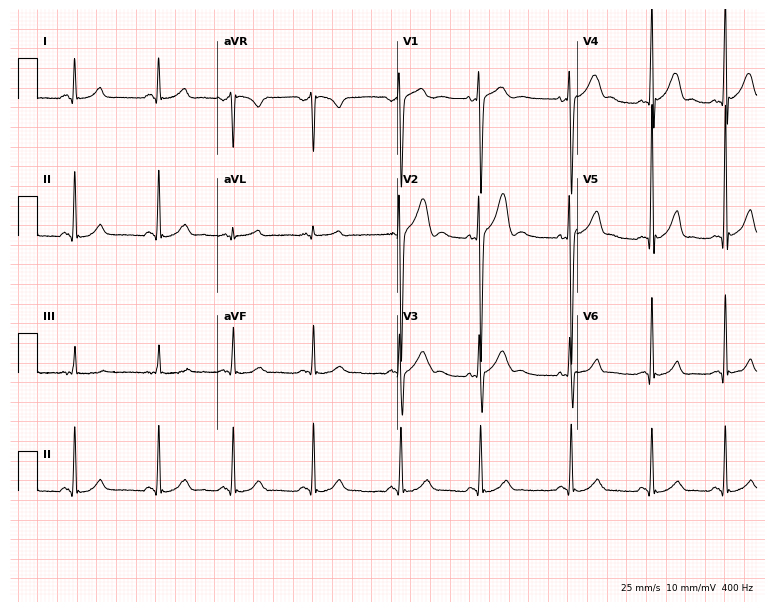
Electrocardiogram, a man, 23 years old. Overall reading on record: normal ECG.